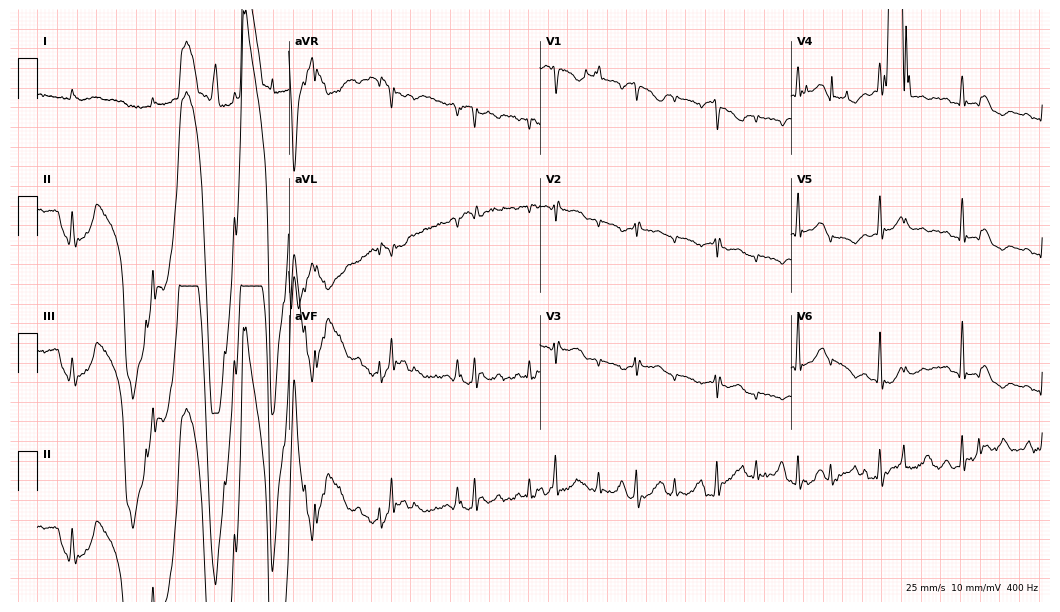
Resting 12-lead electrocardiogram (10.2-second recording at 400 Hz). Patient: a 78-year-old male. None of these six findings is recorded: first-degree AV block, right bundle branch block, left bundle branch block, sinus bradycardia, atrial fibrillation, sinus tachycardia.